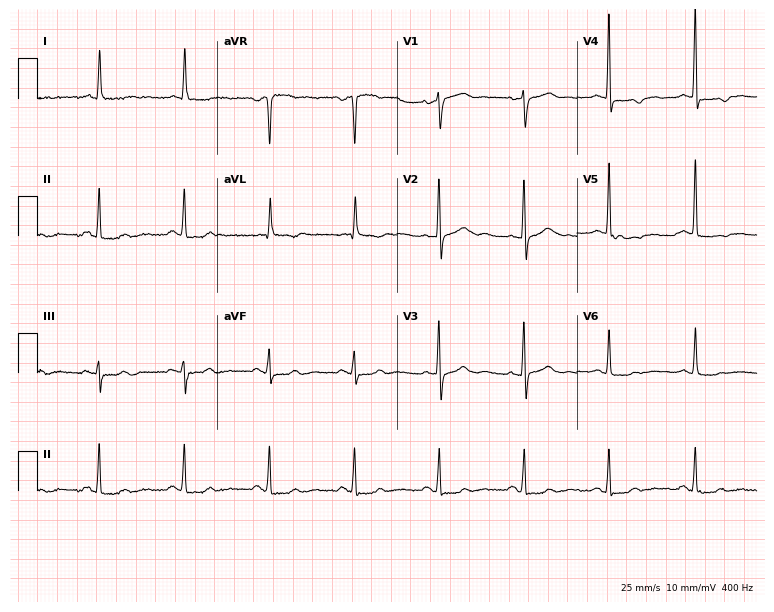
Resting 12-lead electrocardiogram. Patient: a female, 82 years old. None of these six findings is recorded: first-degree AV block, right bundle branch block (RBBB), left bundle branch block (LBBB), sinus bradycardia, atrial fibrillation (AF), sinus tachycardia. Other findings, if any, are not listed.